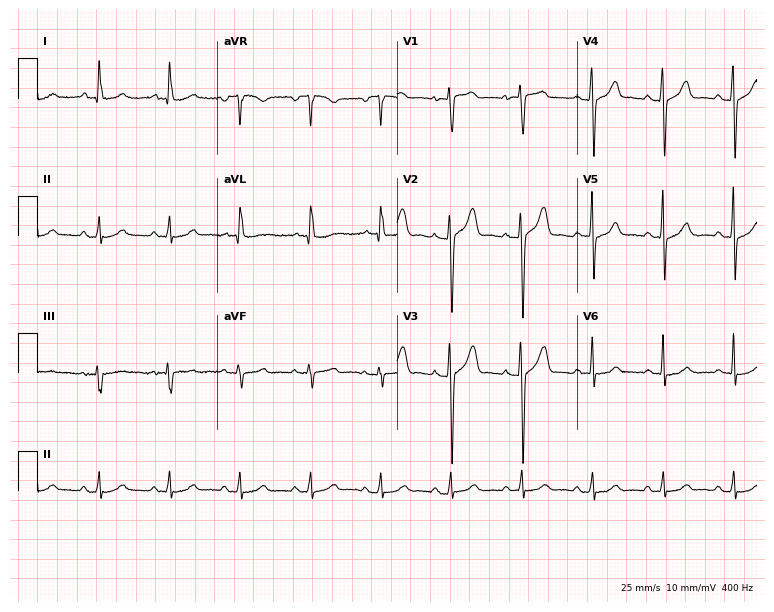
Resting 12-lead electrocardiogram. Patient: a 56-year-old male. None of these six findings is recorded: first-degree AV block, right bundle branch block, left bundle branch block, sinus bradycardia, atrial fibrillation, sinus tachycardia. Other findings, if any, are not listed.